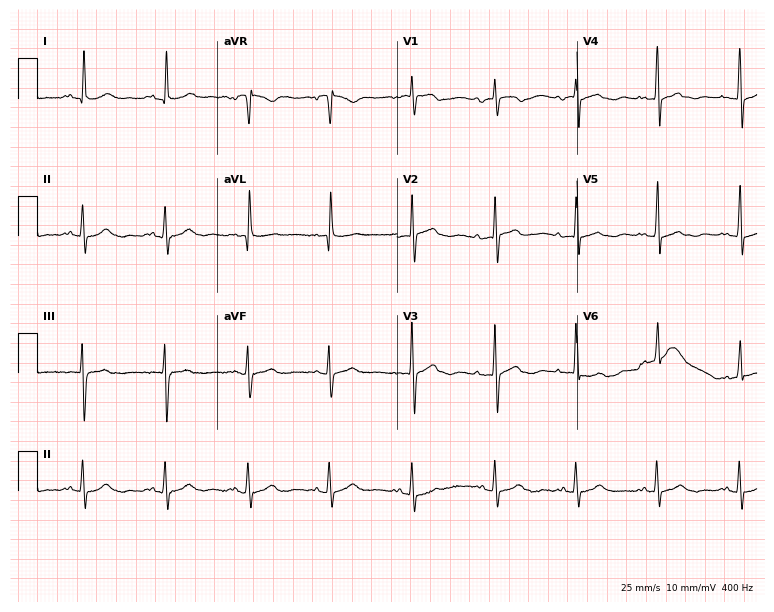
Standard 12-lead ECG recorded from a 71-year-old woman. None of these six findings is recorded: first-degree AV block, right bundle branch block (RBBB), left bundle branch block (LBBB), sinus bradycardia, atrial fibrillation (AF), sinus tachycardia.